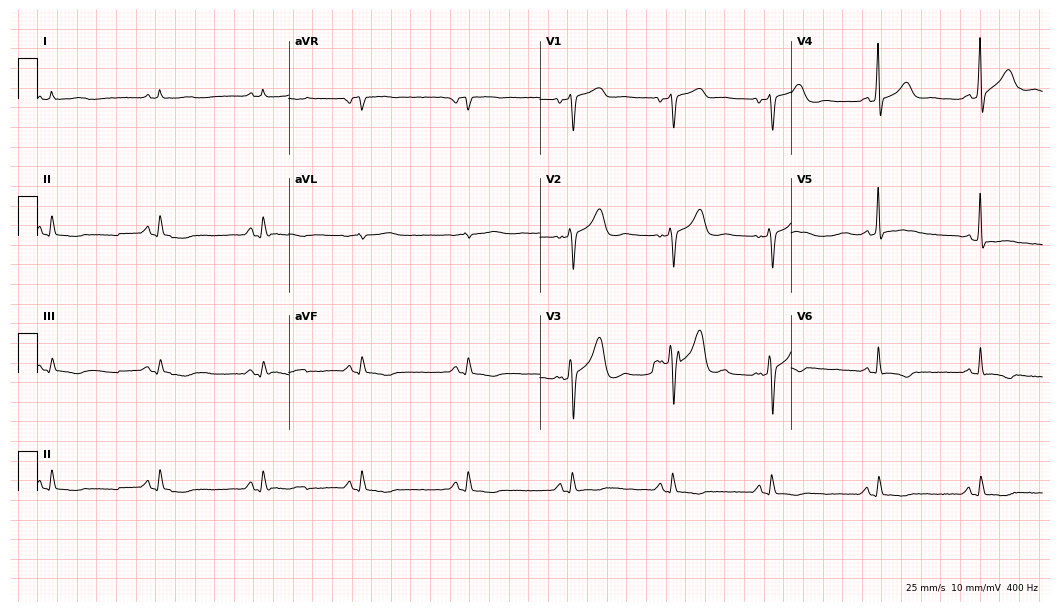
Electrocardiogram (10.2-second recording at 400 Hz), a 73-year-old man. Of the six screened findings (first-degree AV block, right bundle branch block, left bundle branch block, sinus bradycardia, atrial fibrillation, sinus tachycardia), none is recorded. Only these six findings were labelled.